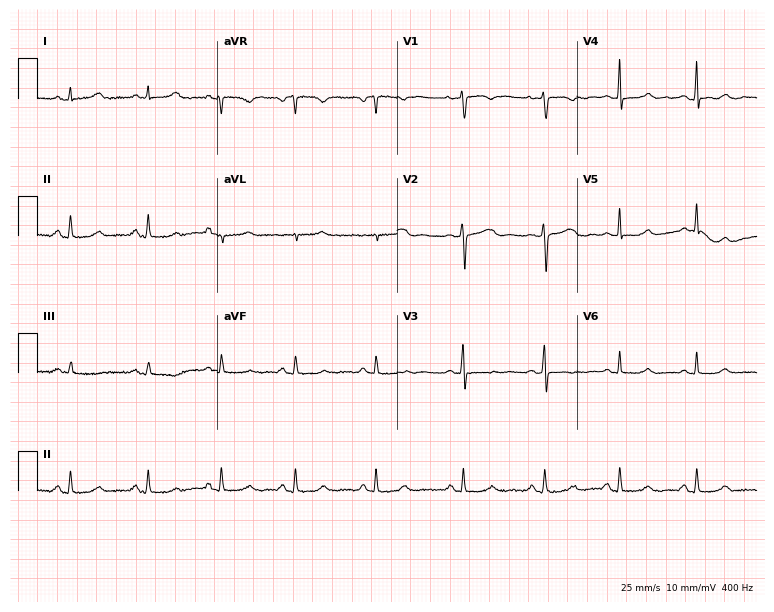
Resting 12-lead electrocardiogram (7.3-second recording at 400 Hz). Patient: a woman, 24 years old. Read as a normal ECG.